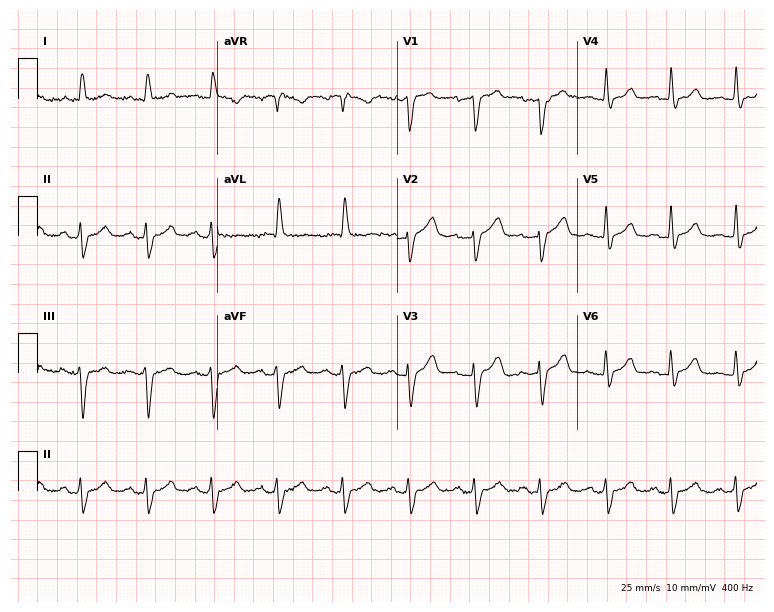
12-lead ECG from a 71-year-old male patient (7.3-second recording at 400 Hz). No first-degree AV block, right bundle branch block (RBBB), left bundle branch block (LBBB), sinus bradycardia, atrial fibrillation (AF) or sinus tachycardia recorded for this tracing. Other findings, if any, are not listed.